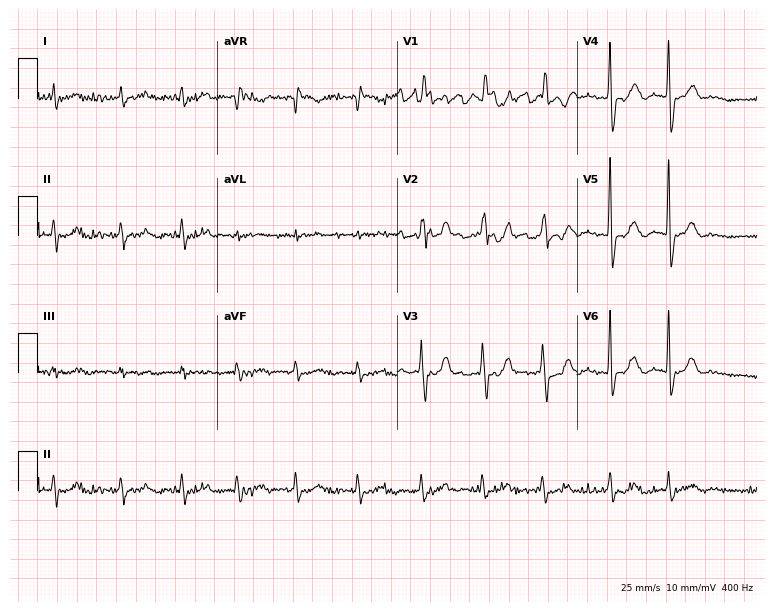
ECG (7.3-second recording at 400 Hz) — a female, 83 years old. Screened for six findings — first-degree AV block, right bundle branch block, left bundle branch block, sinus bradycardia, atrial fibrillation, sinus tachycardia — none is recorded.